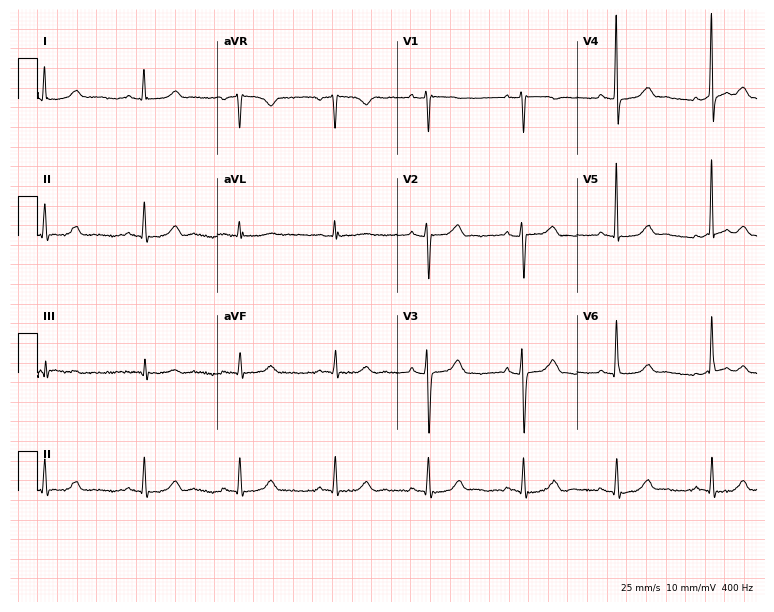
Electrocardiogram (7.3-second recording at 400 Hz), a 61-year-old female. Overall reading on record: normal ECG.